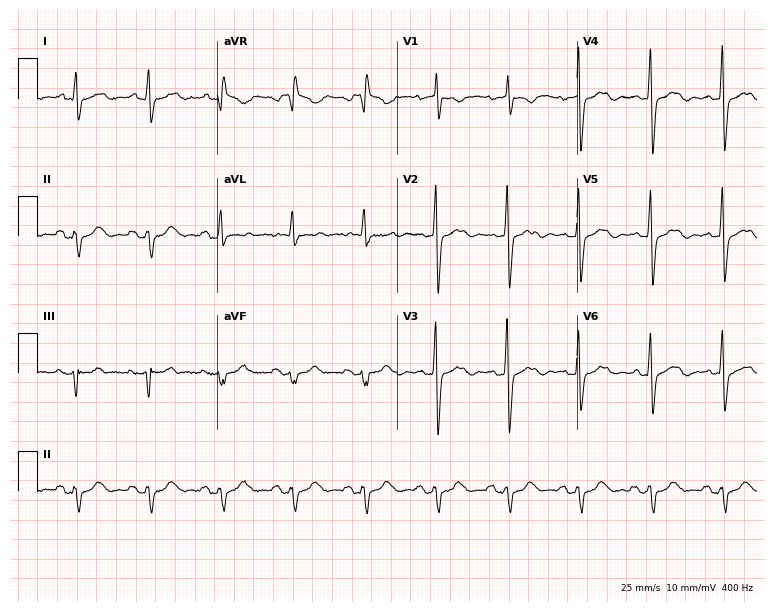
12-lead ECG from a female patient, 82 years old (7.3-second recording at 400 Hz). No first-degree AV block, right bundle branch block (RBBB), left bundle branch block (LBBB), sinus bradycardia, atrial fibrillation (AF) or sinus tachycardia recorded for this tracing. Other findings, if any, are not listed.